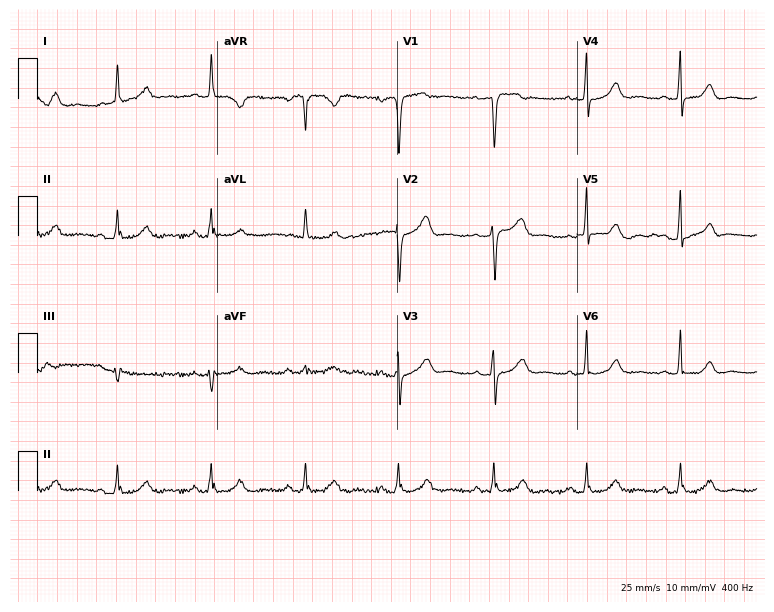
Standard 12-lead ECG recorded from a woman, 50 years old. Read as a normal ECG.